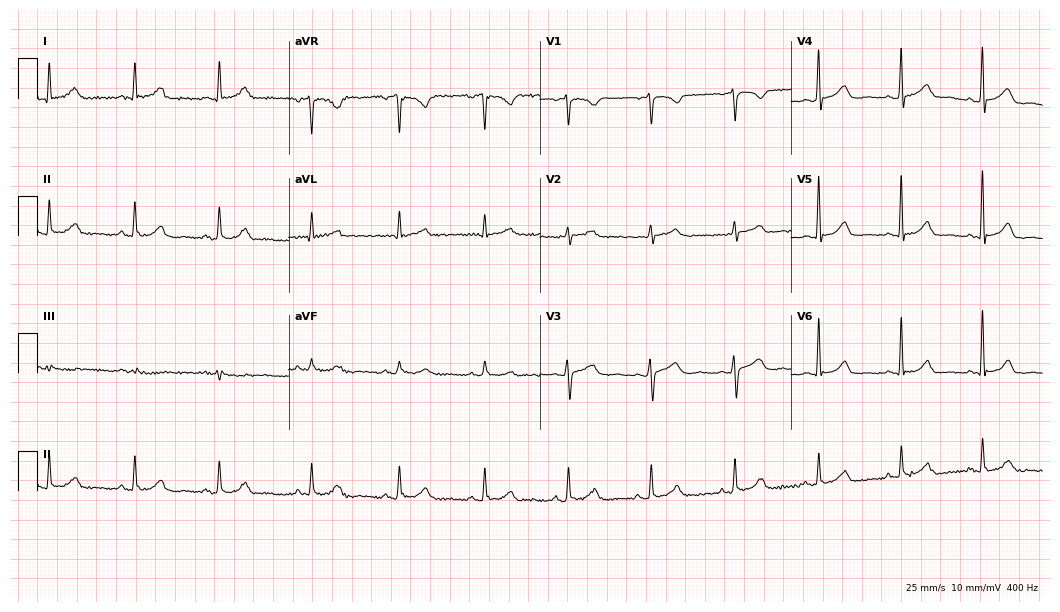
12-lead ECG (10.2-second recording at 400 Hz) from a female patient, 68 years old. Labelled as a normal ECG.